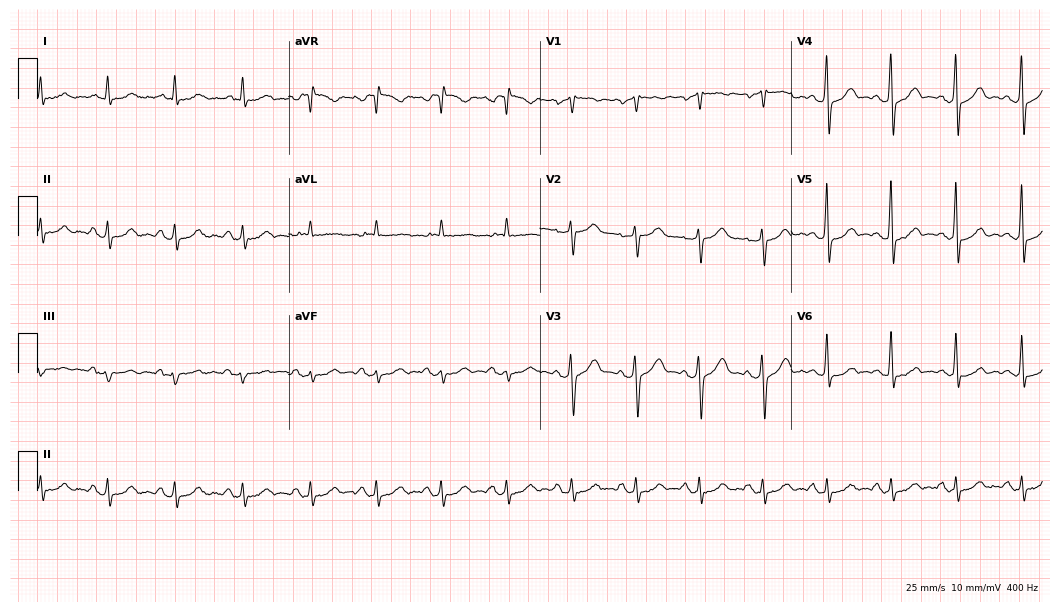
Resting 12-lead electrocardiogram. Patient: a male, 64 years old. Read as a normal ECG.